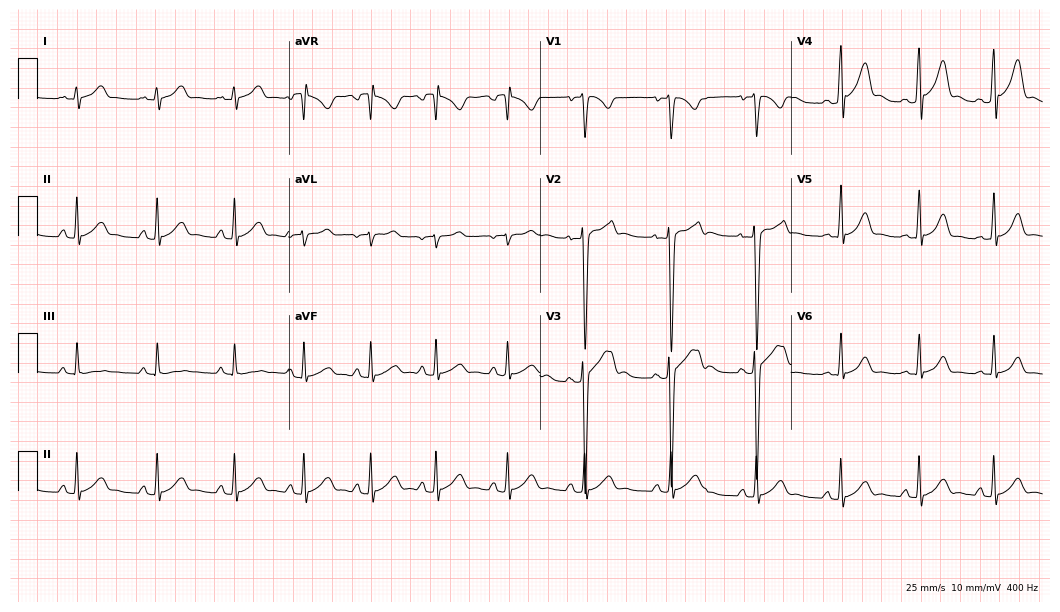
Resting 12-lead electrocardiogram (10.2-second recording at 400 Hz). Patient: an 18-year-old male. Read as a normal ECG.